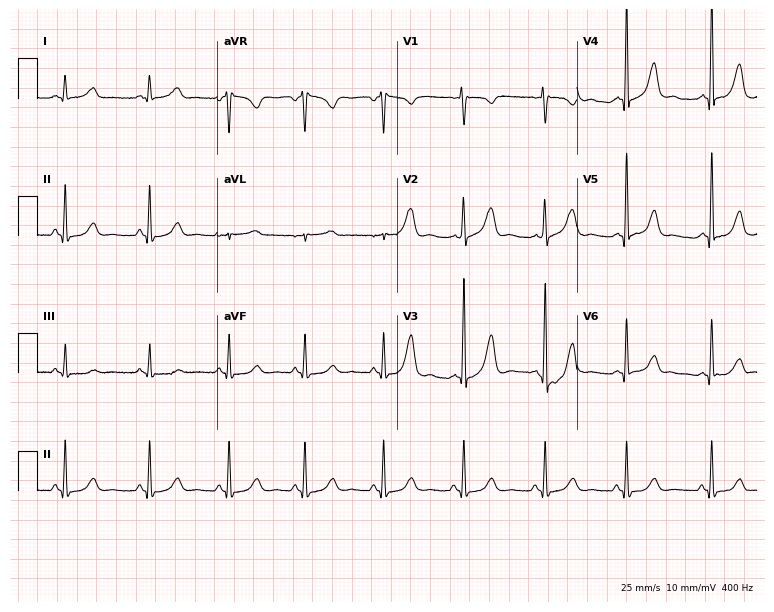
Resting 12-lead electrocardiogram. Patient: a 52-year-old woman. None of these six findings is recorded: first-degree AV block, right bundle branch block (RBBB), left bundle branch block (LBBB), sinus bradycardia, atrial fibrillation (AF), sinus tachycardia. Only these six findings were labelled.